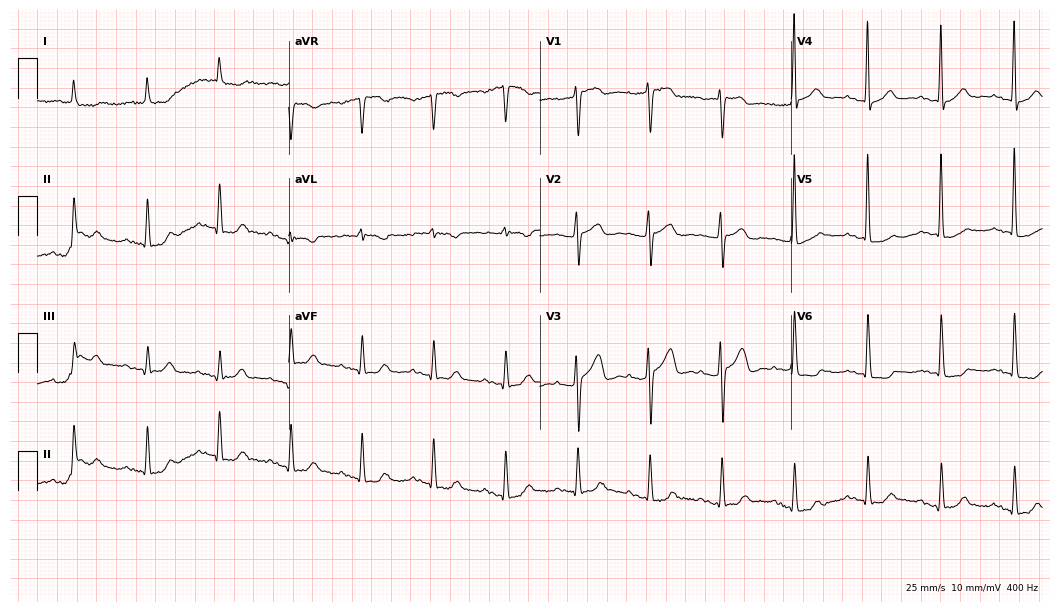
Standard 12-lead ECG recorded from a 79-year-old woman (10.2-second recording at 400 Hz). None of these six findings is recorded: first-degree AV block, right bundle branch block, left bundle branch block, sinus bradycardia, atrial fibrillation, sinus tachycardia. Findings outside these six are not listed.